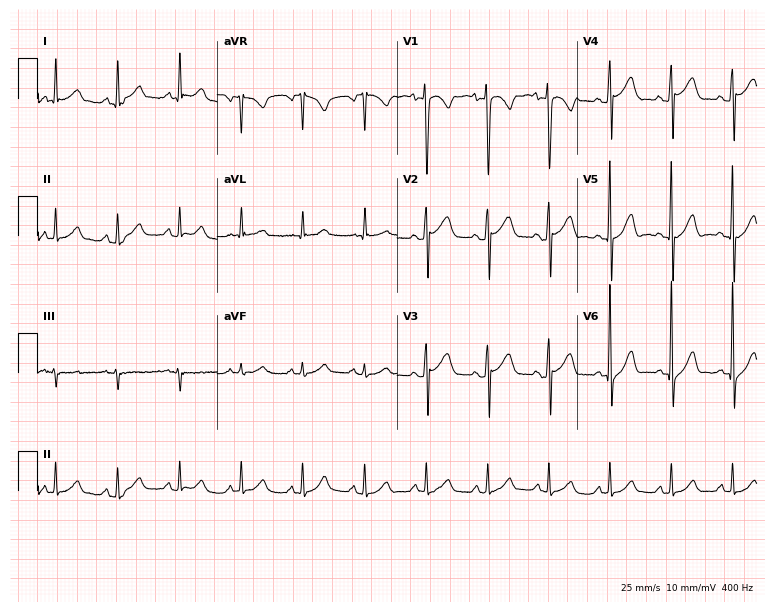
12-lead ECG from a man, 17 years old. No first-degree AV block, right bundle branch block, left bundle branch block, sinus bradycardia, atrial fibrillation or sinus tachycardia recorded for this tracing. Other findings, if any, are not listed.